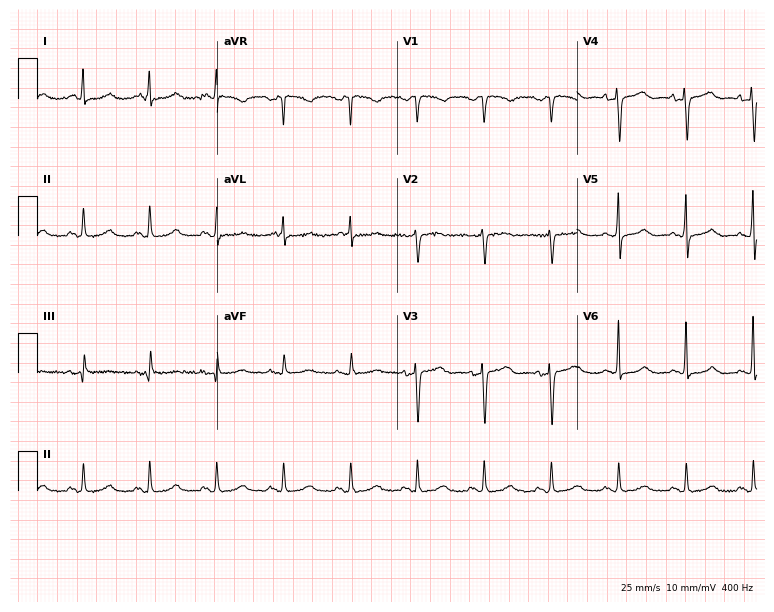
12-lead ECG from a 78-year-old female. Recorded interpretation: within normal limits.